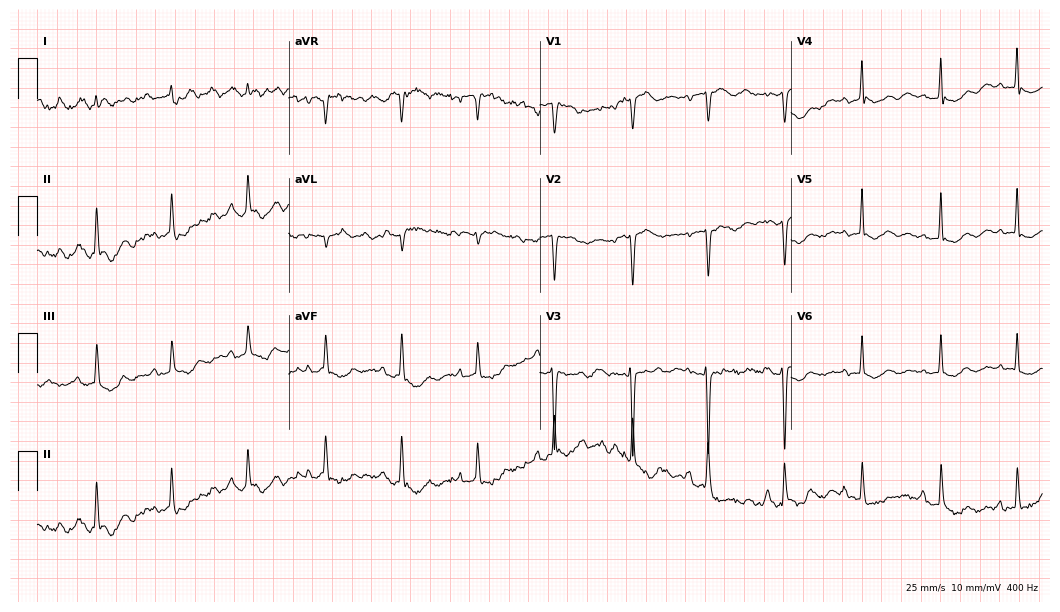
12-lead ECG (10.2-second recording at 400 Hz) from a woman, 75 years old. Screened for six findings — first-degree AV block, right bundle branch block, left bundle branch block, sinus bradycardia, atrial fibrillation, sinus tachycardia — none is recorded. Only these six findings were labelled.